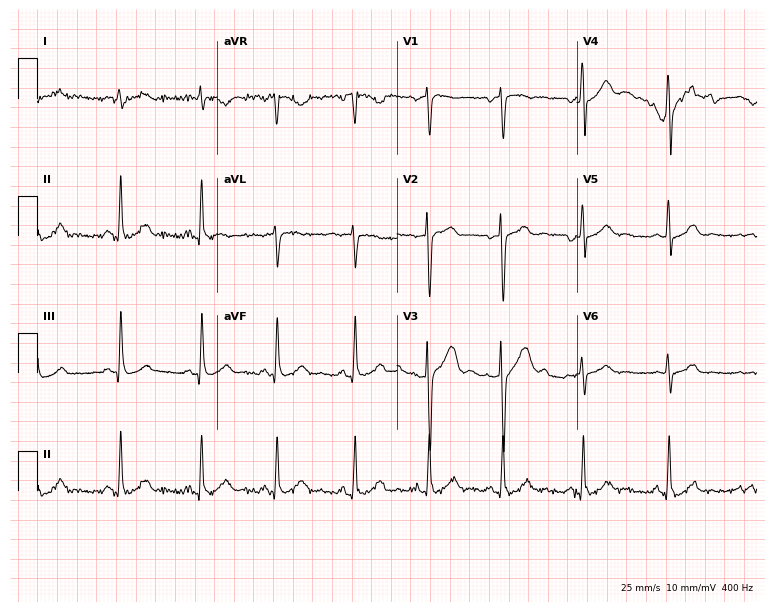
12-lead ECG from a 37-year-old male. Recorded interpretation: within normal limits.